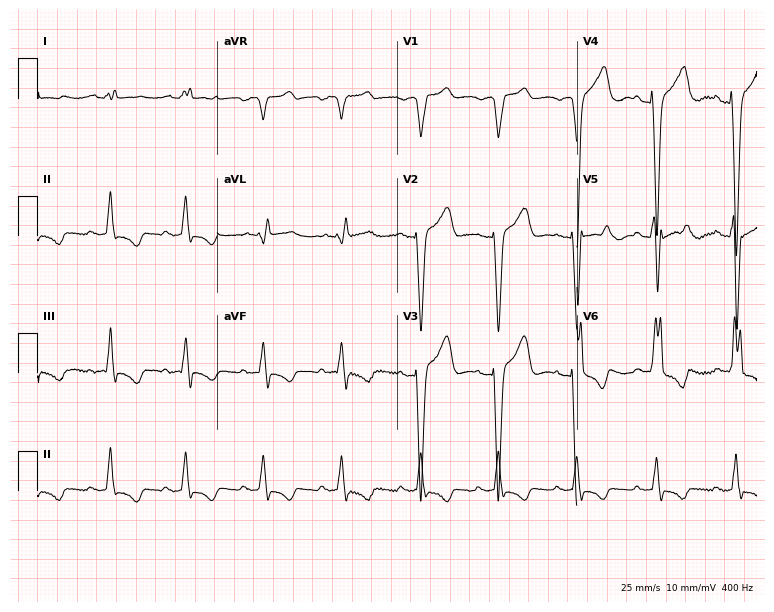
Resting 12-lead electrocardiogram. Patient: a 72-year-old man. The tracing shows left bundle branch block.